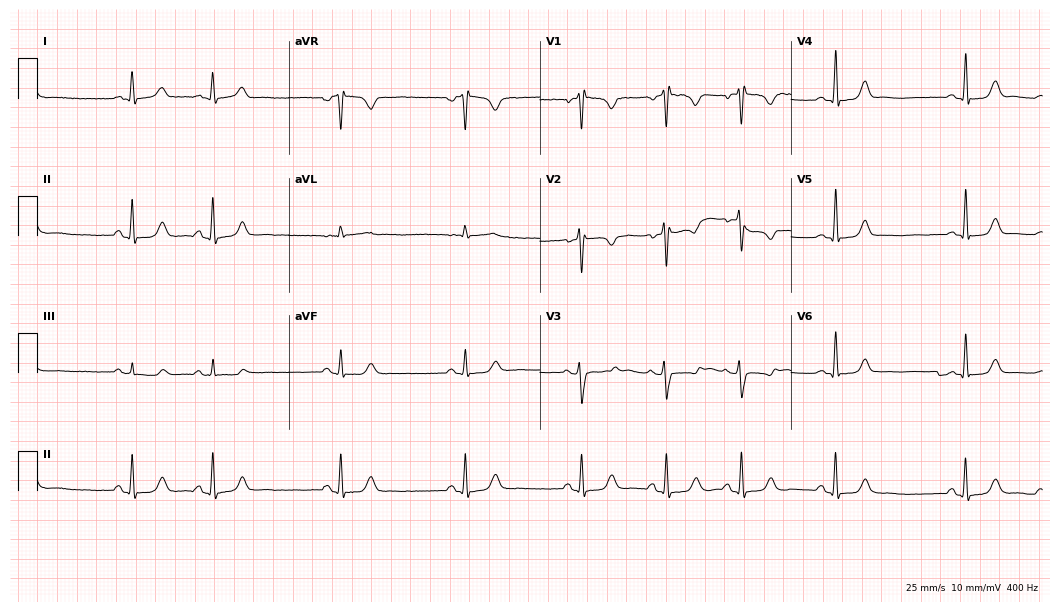
Electrocardiogram, a woman, 24 years old. Overall reading on record: normal ECG.